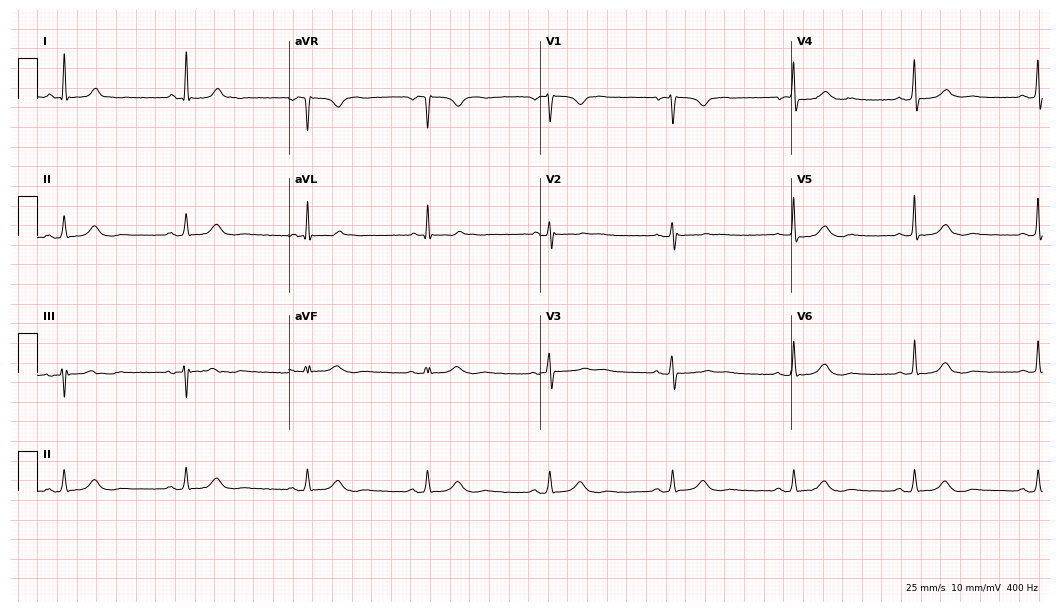
12-lead ECG from a female, 64 years old. Shows sinus bradycardia (a sinus rate of 50 beats per minute or less).